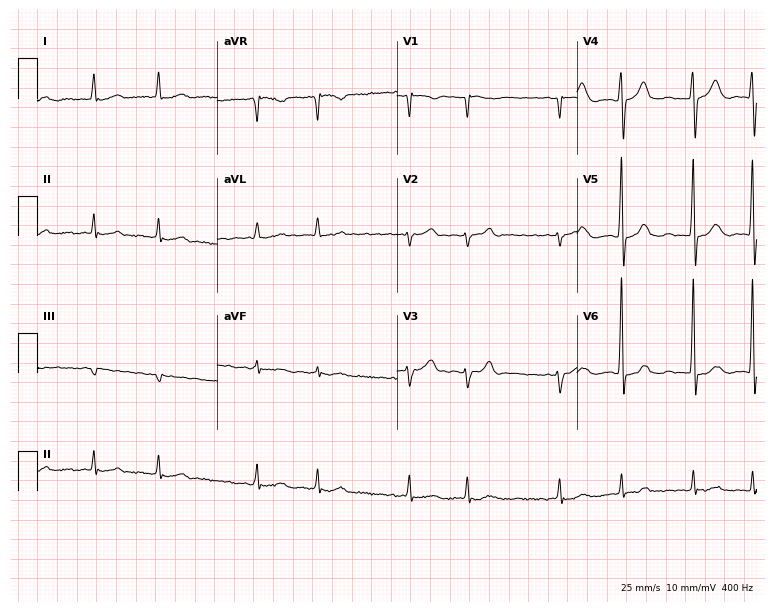
ECG — a male, 68 years old. Findings include atrial fibrillation.